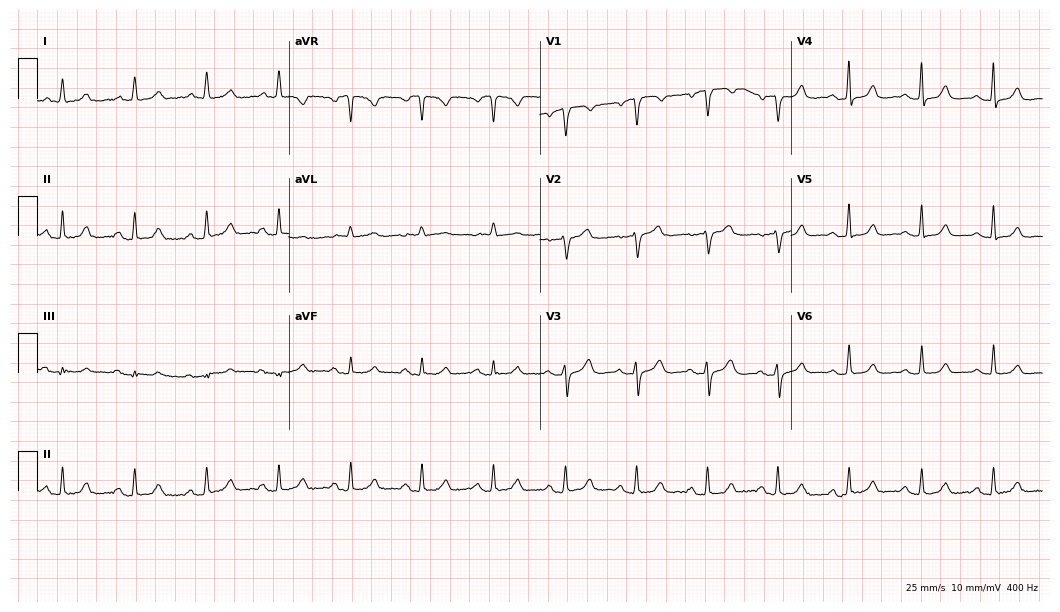
12-lead ECG from a 78-year-old man (10.2-second recording at 400 Hz). No first-degree AV block, right bundle branch block, left bundle branch block, sinus bradycardia, atrial fibrillation or sinus tachycardia recorded for this tracing.